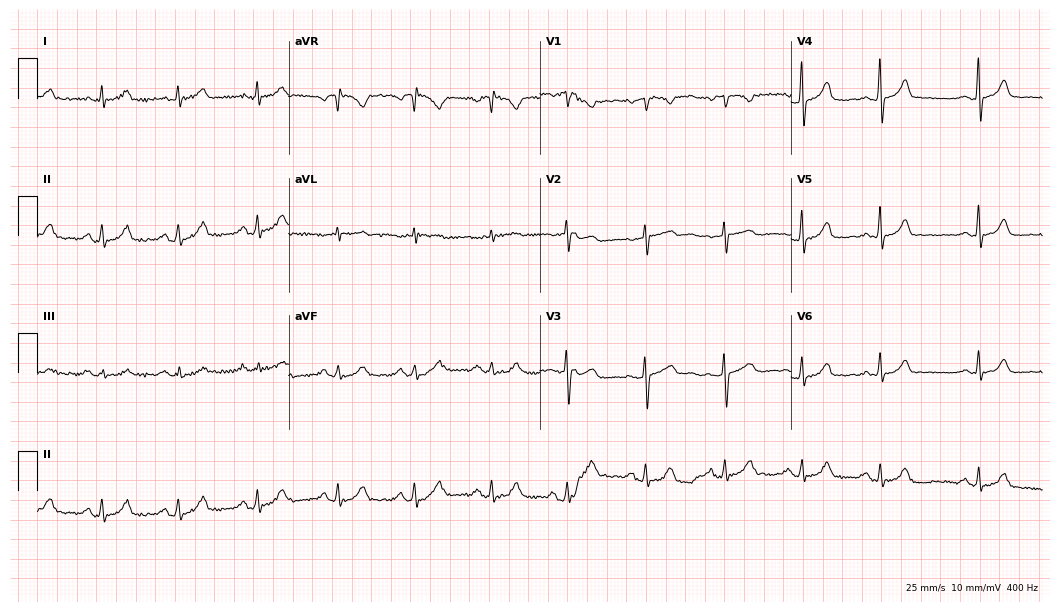
12-lead ECG (10.2-second recording at 400 Hz) from a female, 56 years old. Labelled as a normal ECG.